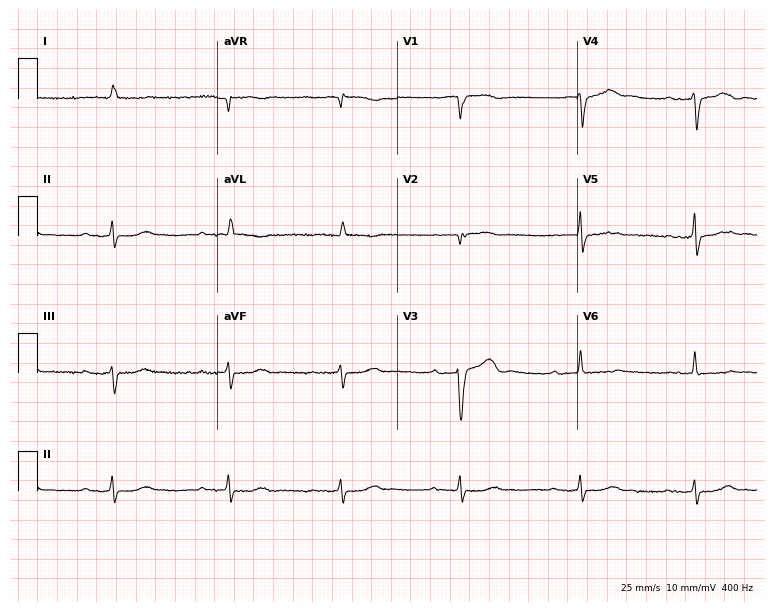
12-lead ECG from an 84-year-old man (7.3-second recording at 400 Hz). Shows first-degree AV block.